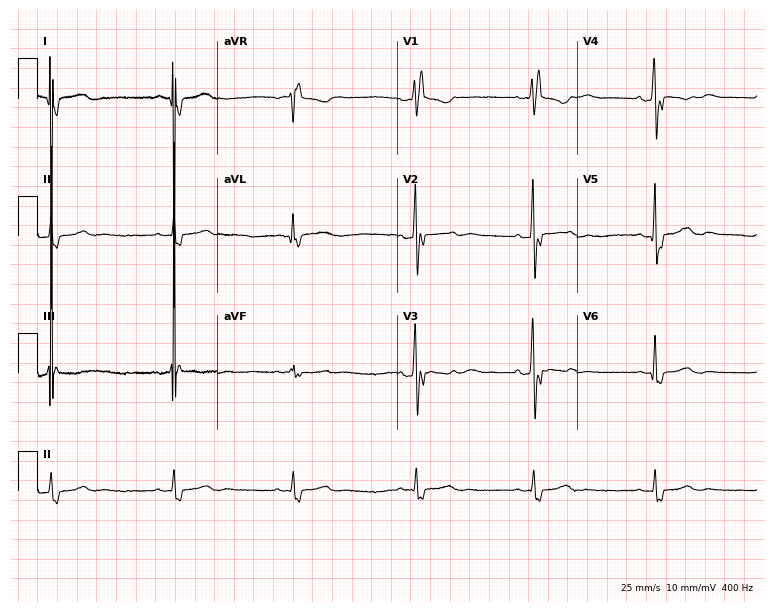
ECG (7.3-second recording at 400 Hz) — a 77-year-old female. Findings include right bundle branch block (RBBB), sinus bradycardia (a sinus rate of 50 beats per minute or less).